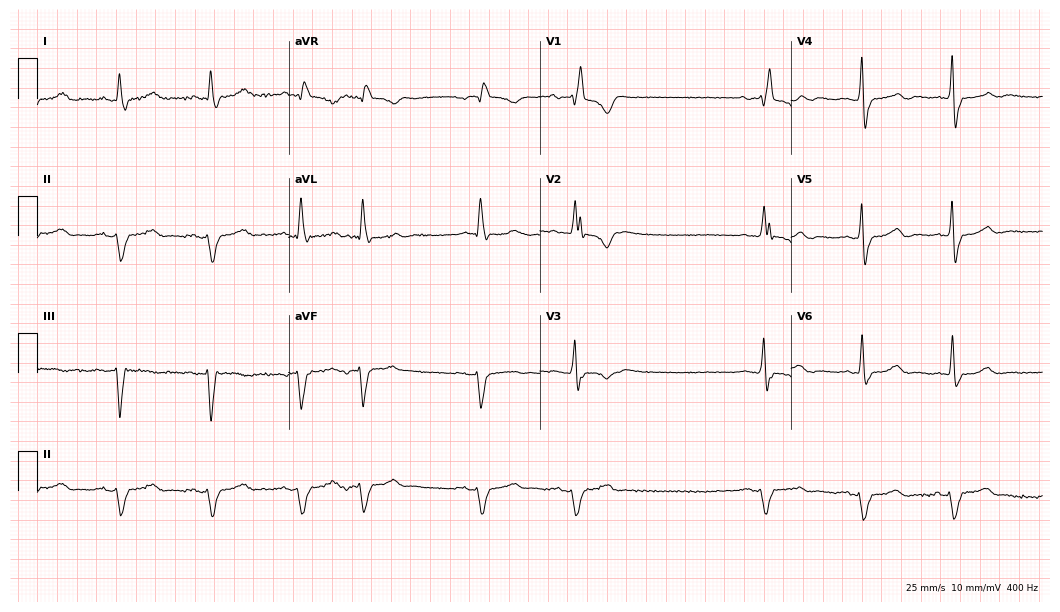
12-lead ECG from a female, 64 years old. Shows first-degree AV block, sinus bradycardia (a sinus rate of 50 beats per minute or less).